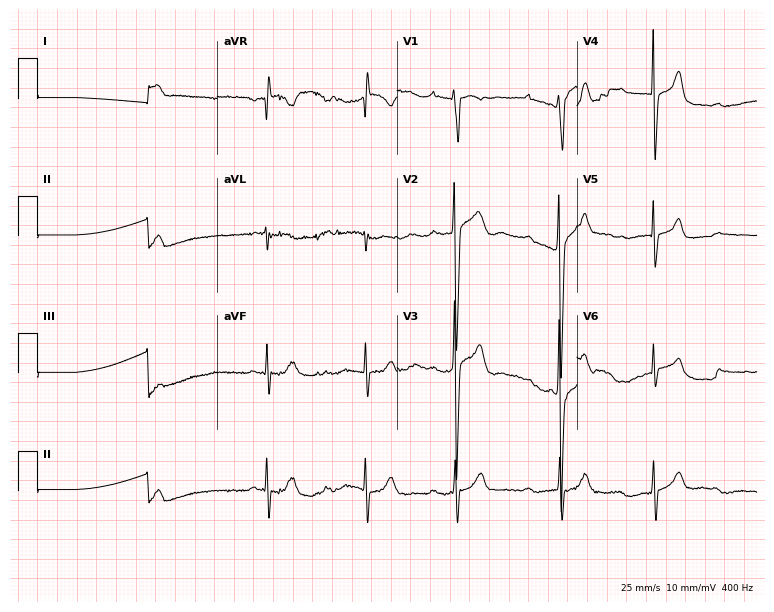
Standard 12-lead ECG recorded from a male, 17 years old (7.3-second recording at 400 Hz). None of these six findings is recorded: first-degree AV block, right bundle branch block, left bundle branch block, sinus bradycardia, atrial fibrillation, sinus tachycardia. Only these six findings were labelled.